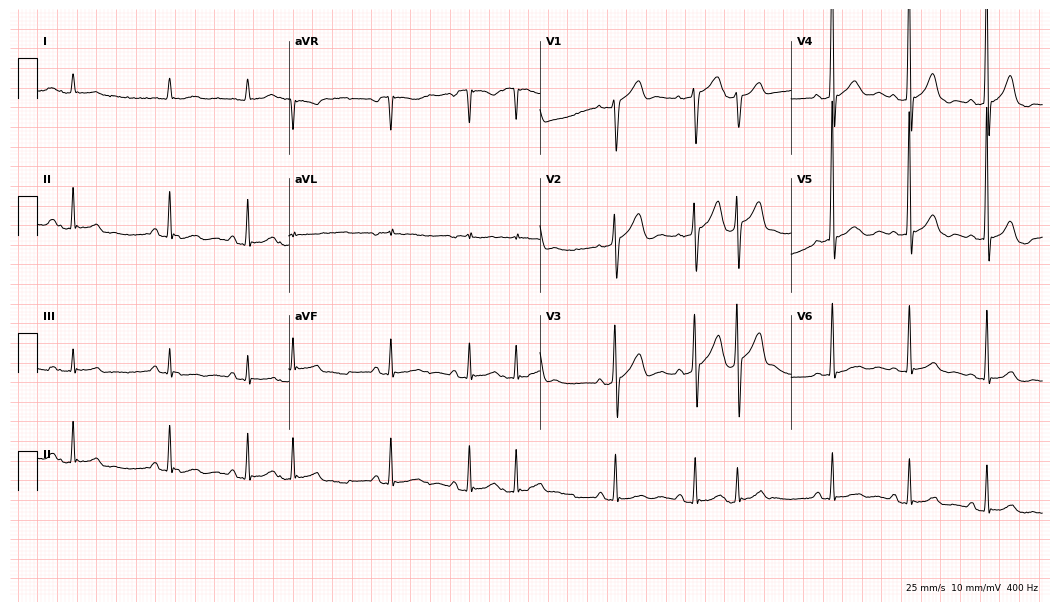
12-lead ECG (10.2-second recording at 400 Hz) from a man, 79 years old. Screened for six findings — first-degree AV block, right bundle branch block, left bundle branch block, sinus bradycardia, atrial fibrillation, sinus tachycardia — none is recorded. Findings outside these six are not listed.